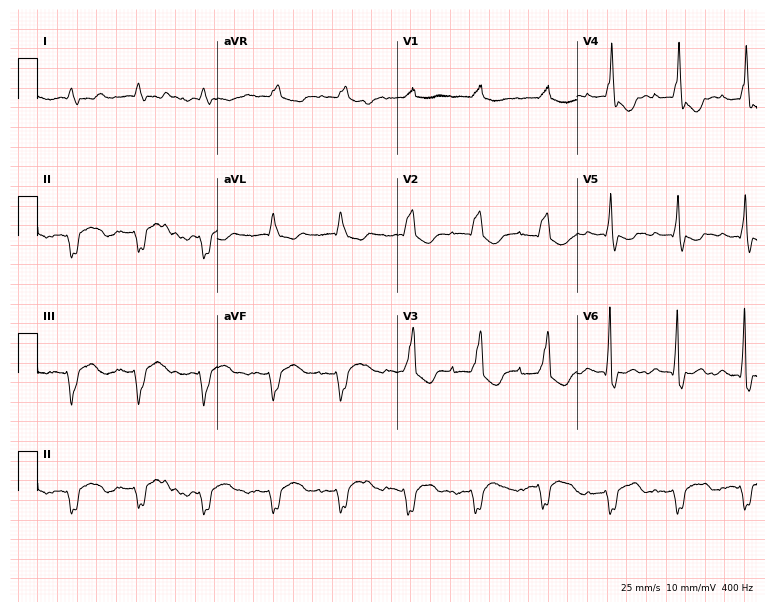
Resting 12-lead electrocardiogram. Patient: a 53-year-old female. The tracing shows right bundle branch block (RBBB).